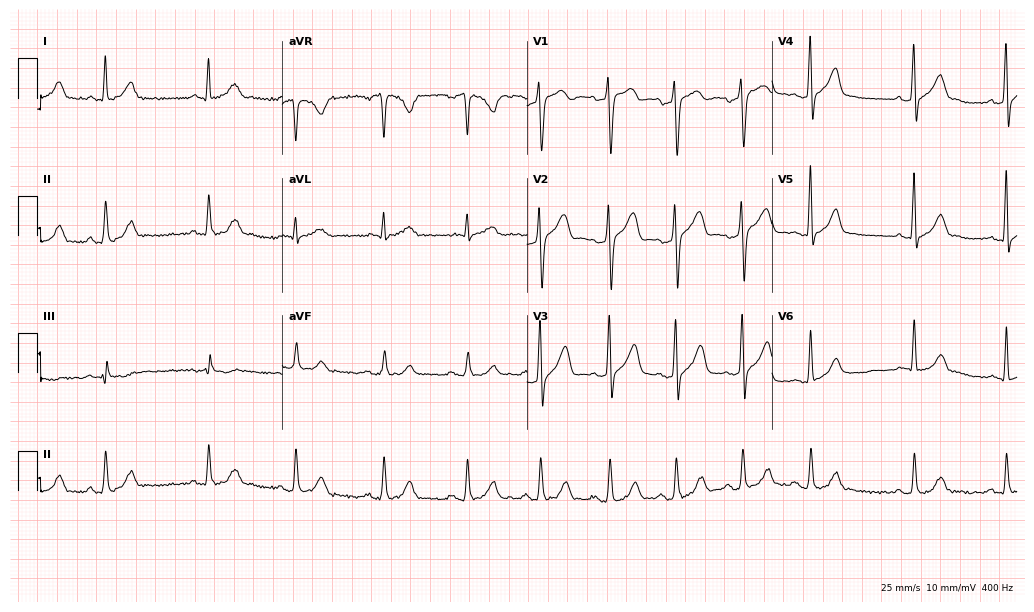
Resting 12-lead electrocardiogram (10-second recording at 400 Hz). Patient: a male, 43 years old. Read as a normal ECG.